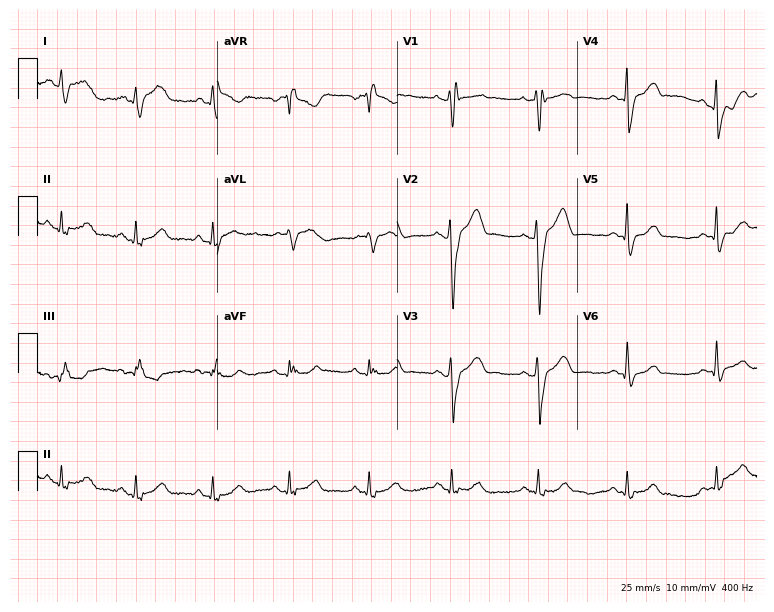
12-lead ECG from a male patient, 44 years old. Findings include right bundle branch block.